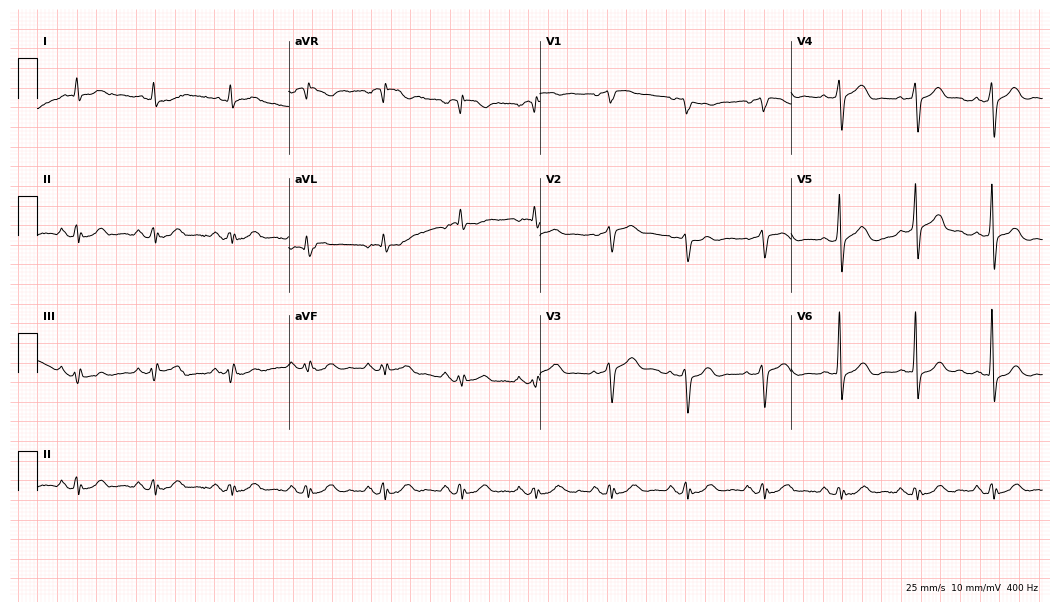
Resting 12-lead electrocardiogram (10.2-second recording at 400 Hz). Patient: a man, 84 years old. None of these six findings is recorded: first-degree AV block, right bundle branch block, left bundle branch block, sinus bradycardia, atrial fibrillation, sinus tachycardia.